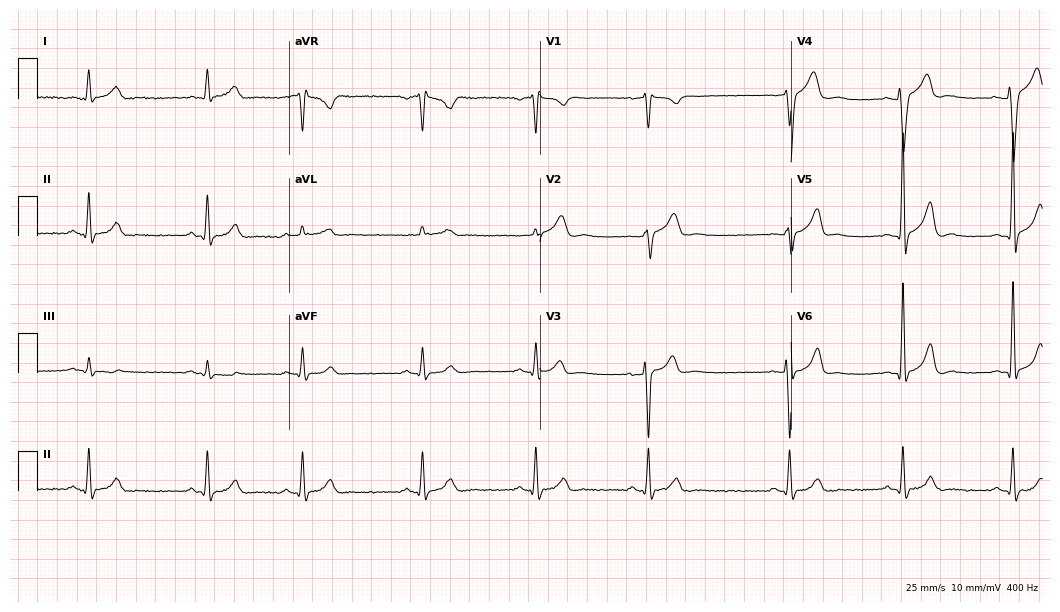
12-lead ECG (10.2-second recording at 400 Hz) from a 34-year-old male. Screened for six findings — first-degree AV block, right bundle branch block, left bundle branch block, sinus bradycardia, atrial fibrillation, sinus tachycardia — none is recorded.